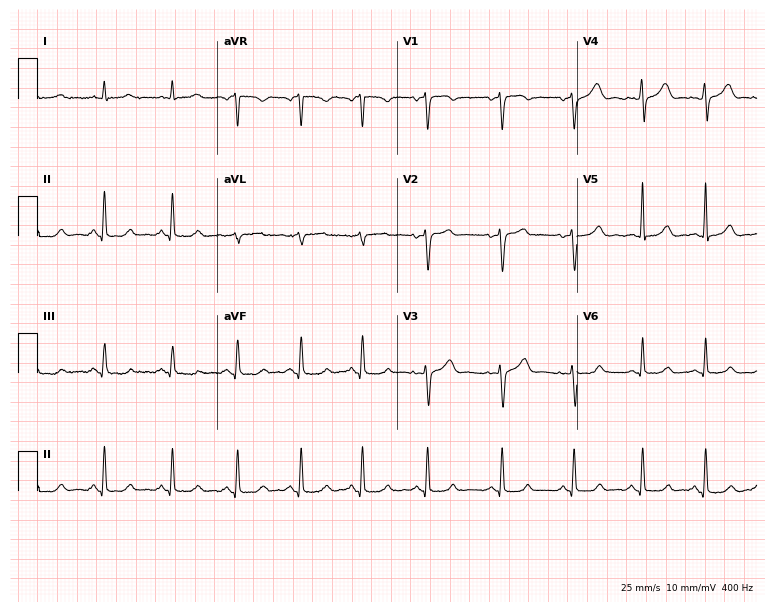
Standard 12-lead ECG recorded from a 50-year-old female patient. Read as a normal ECG.